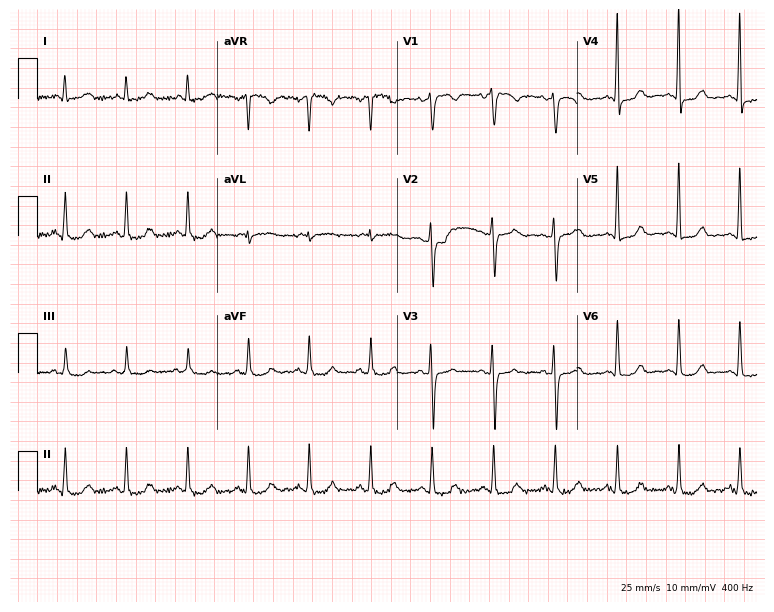
Resting 12-lead electrocardiogram. Patient: a 45-year-old woman. None of these six findings is recorded: first-degree AV block, right bundle branch block (RBBB), left bundle branch block (LBBB), sinus bradycardia, atrial fibrillation (AF), sinus tachycardia.